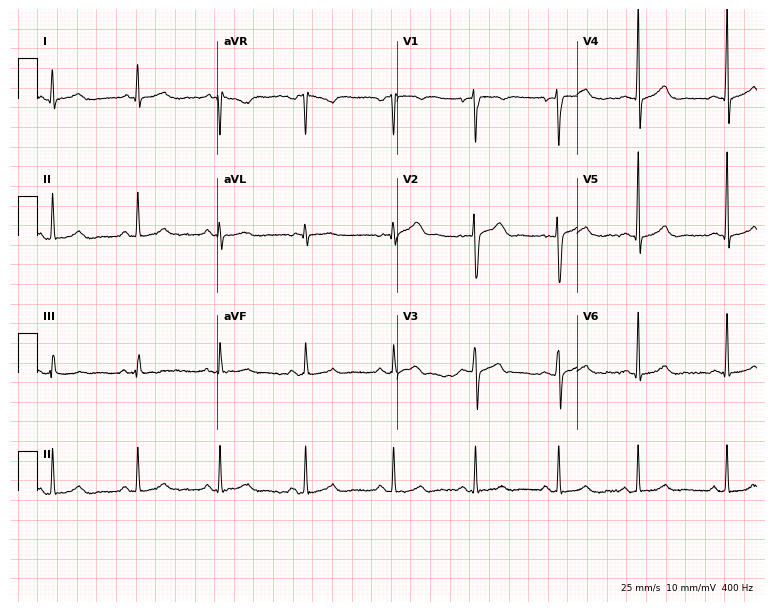
Electrocardiogram (7.3-second recording at 400 Hz), a man, 29 years old. Overall reading on record: normal ECG.